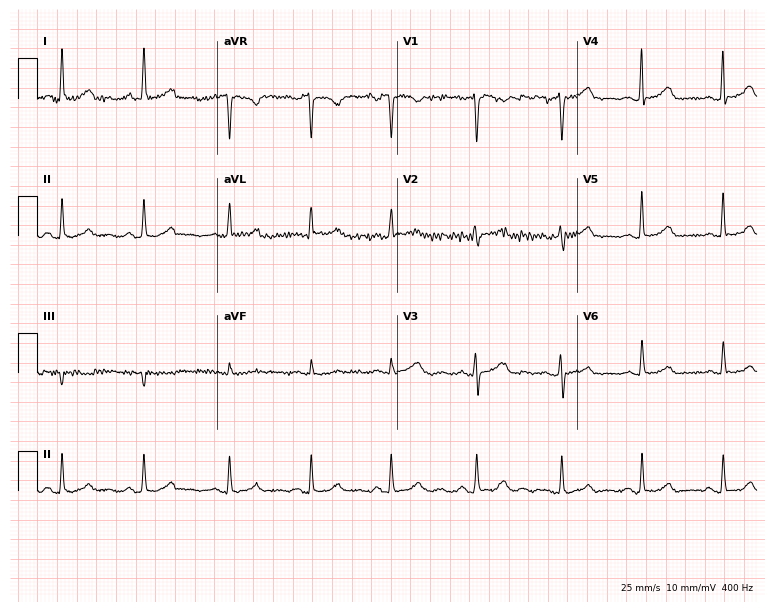
ECG — a female, 48 years old. Labelled as a normal ECG.